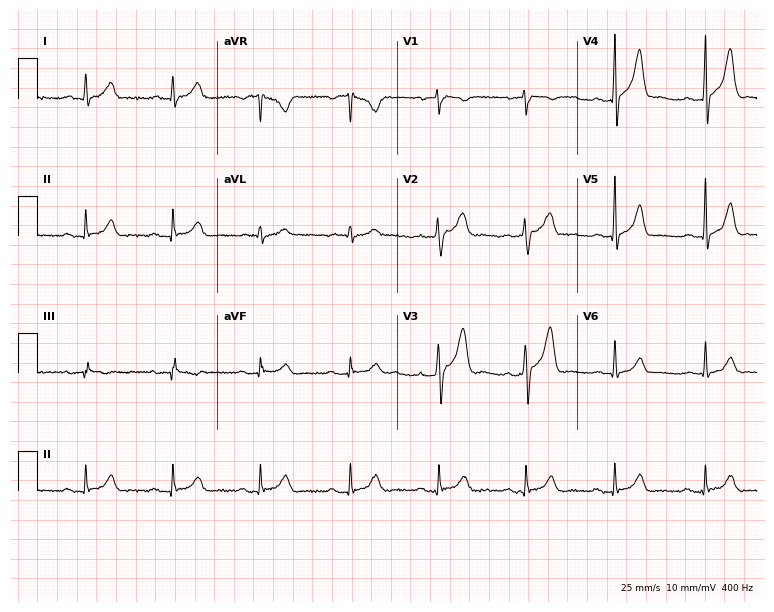
Standard 12-lead ECG recorded from a 58-year-old male patient (7.3-second recording at 400 Hz). Read as a normal ECG.